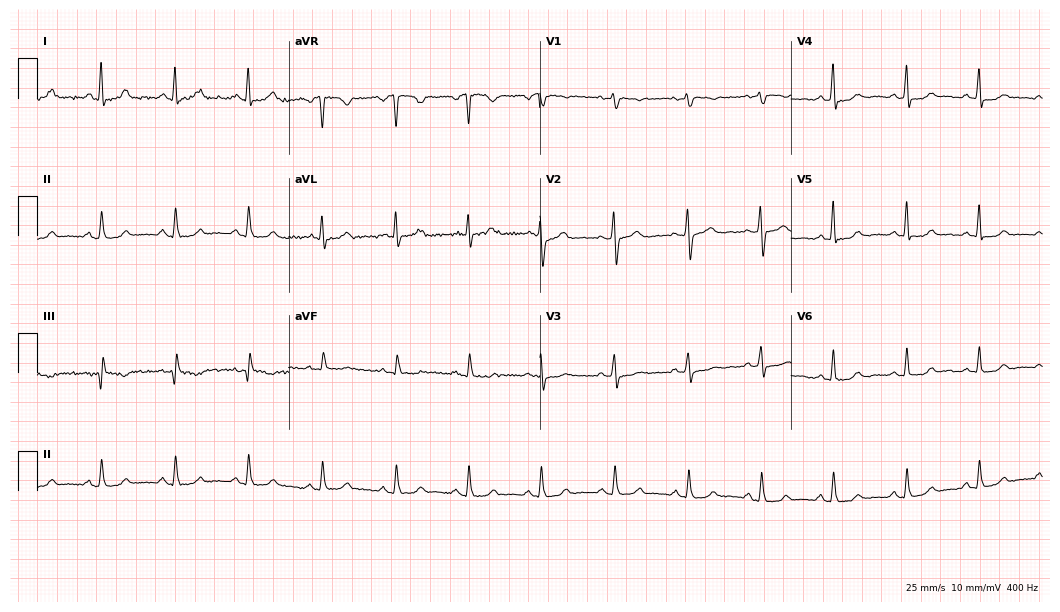
Resting 12-lead electrocardiogram. Patient: a 61-year-old female. Read as a normal ECG.